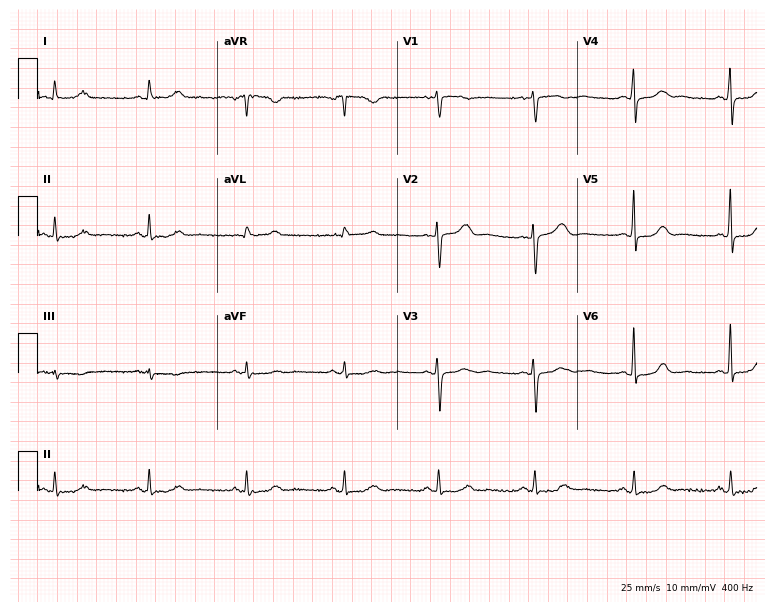
Electrocardiogram (7.3-second recording at 400 Hz), a female, 65 years old. Overall reading on record: normal ECG.